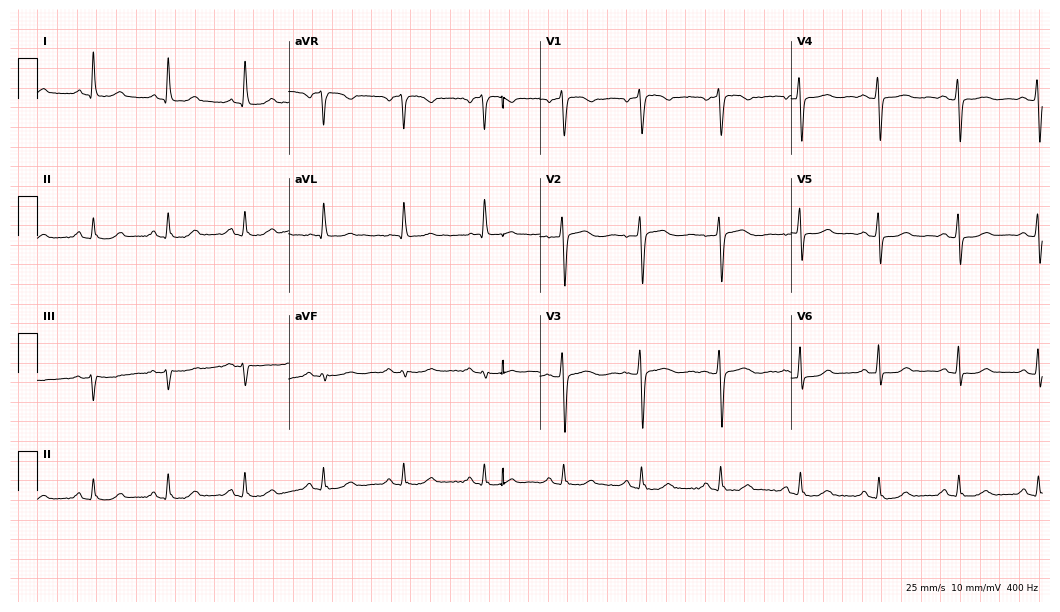
Electrocardiogram, a 64-year-old female. Overall reading on record: normal ECG.